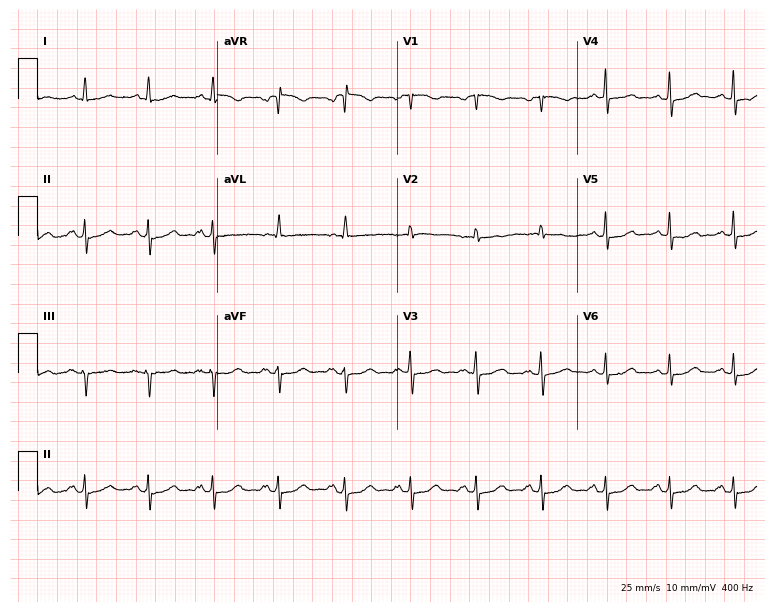
Resting 12-lead electrocardiogram. Patient: a female, 53 years old. None of these six findings is recorded: first-degree AV block, right bundle branch block, left bundle branch block, sinus bradycardia, atrial fibrillation, sinus tachycardia.